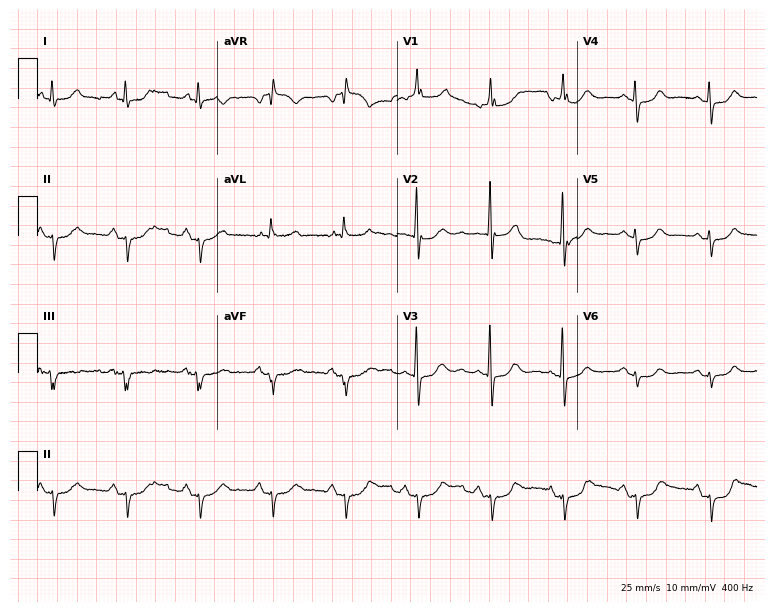
12-lead ECG from an 82-year-old female patient. Screened for six findings — first-degree AV block, right bundle branch block, left bundle branch block, sinus bradycardia, atrial fibrillation, sinus tachycardia — none is recorded.